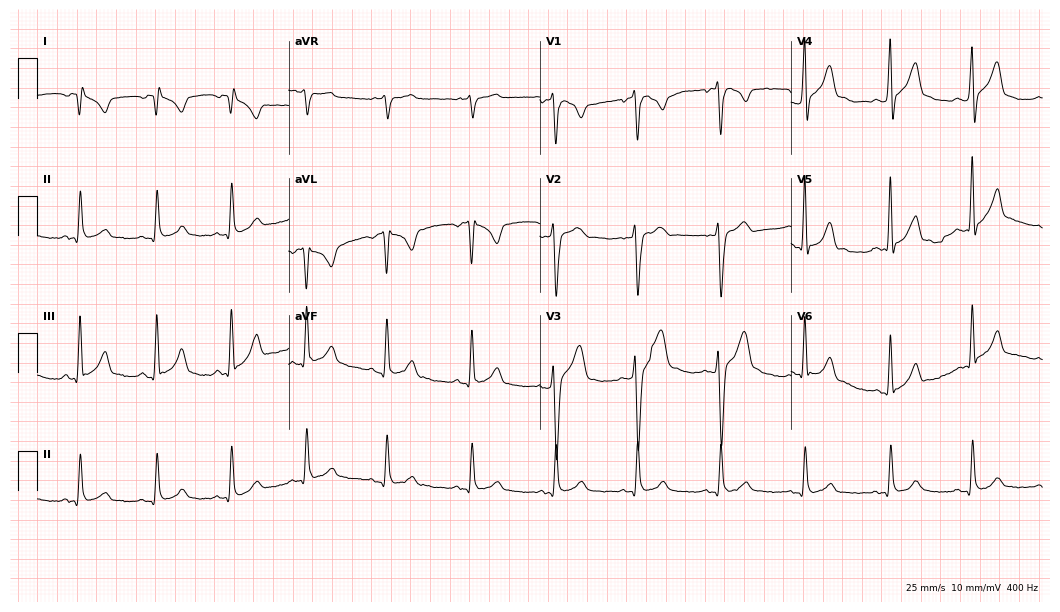
Standard 12-lead ECG recorded from a 23-year-old male patient (10.2-second recording at 400 Hz). None of these six findings is recorded: first-degree AV block, right bundle branch block, left bundle branch block, sinus bradycardia, atrial fibrillation, sinus tachycardia. Findings outside these six are not listed.